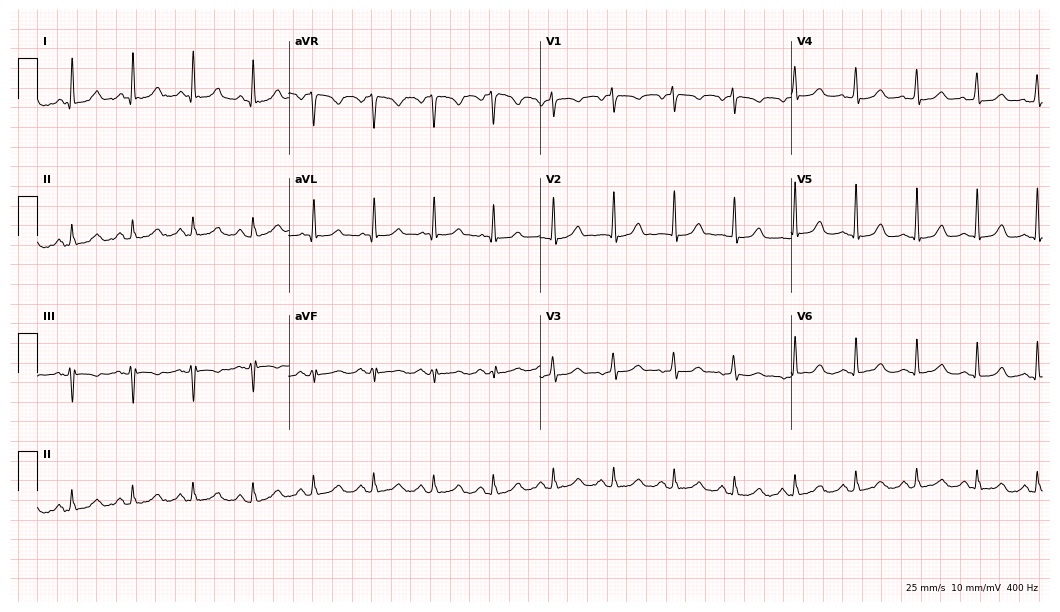
ECG (10.2-second recording at 400 Hz) — a female patient, 46 years old. Labelled as a normal ECG.